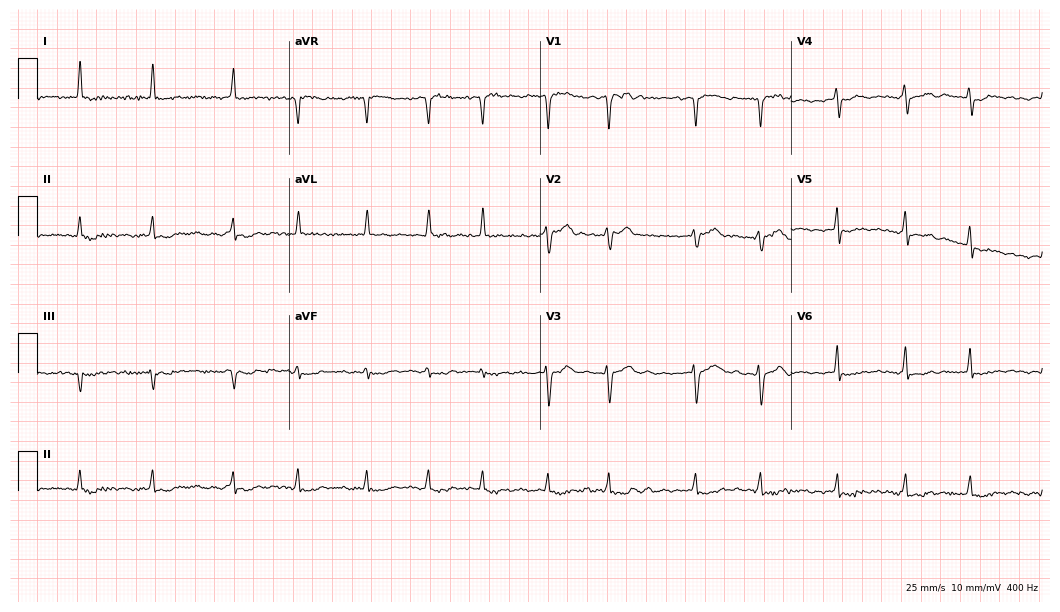
ECG (10.2-second recording at 400 Hz) — a 61-year-old male. Screened for six findings — first-degree AV block, right bundle branch block, left bundle branch block, sinus bradycardia, atrial fibrillation, sinus tachycardia — none is recorded. Findings outside these six are not listed.